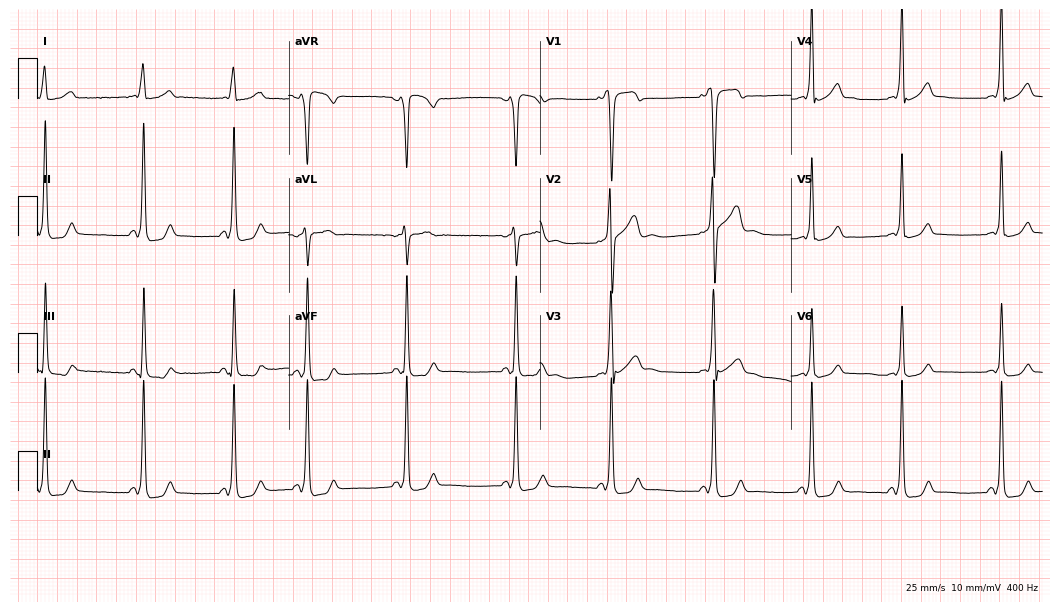
Resting 12-lead electrocardiogram (10.2-second recording at 400 Hz). Patient: a man, 17 years old. None of these six findings is recorded: first-degree AV block, right bundle branch block, left bundle branch block, sinus bradycardia, atrial fibrillation, sinus tachycardia.